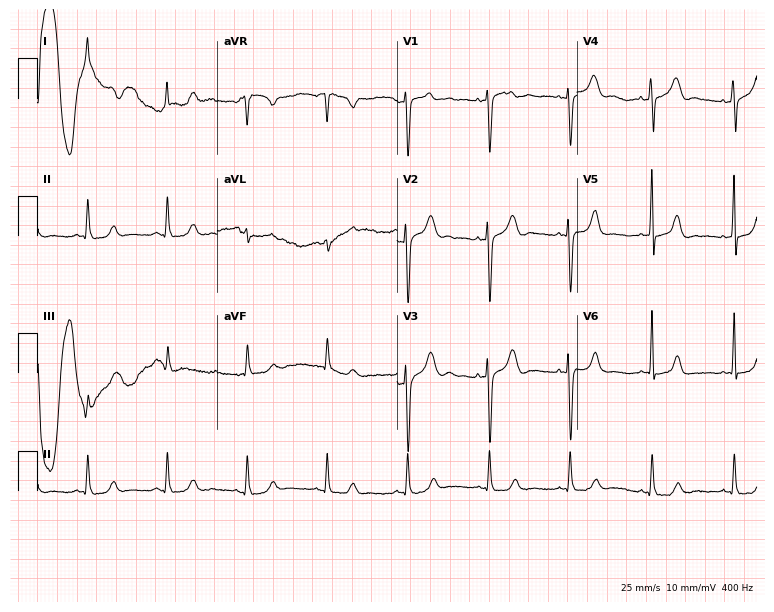
ECG — a 34-year-old female. Screened for six findings — first-degree AV block, right bundle branch block, left bundle branch block, sinus bradycardia, atrial fibrillation, sinus tachycardia — none is recorded. Only these six findings were labelled.